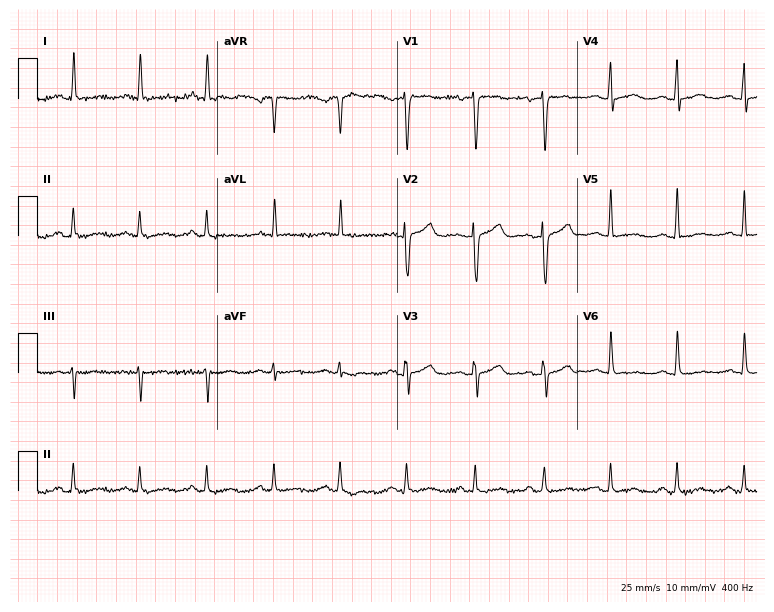
Resting 12-lead electrocardiogram (7.3-second recording at 400 Hz). Patient: a female, 34 years old. None of these six findings is recorded: first-degree AV block, right bundle branch block (RBBB), left bundle branch block (LBBB), sinus bradycardia, atrial fibrillation (AF), sinus tachycardia. Other findings, if any, are not listed.